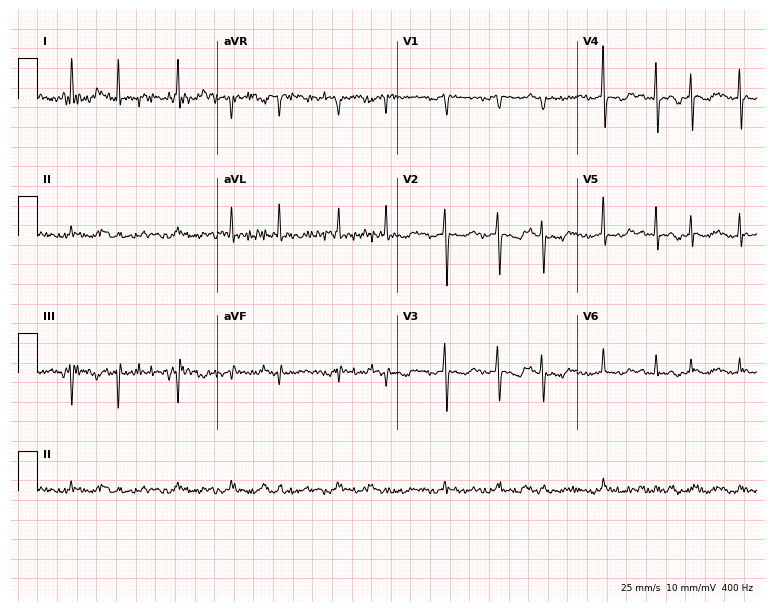
Standard 12-lead ECG recorded from a 70-year-old man. The tracing shows atrial fibrillation, sinus tachycardia (a sinus rate of 100 beats per minute or more).